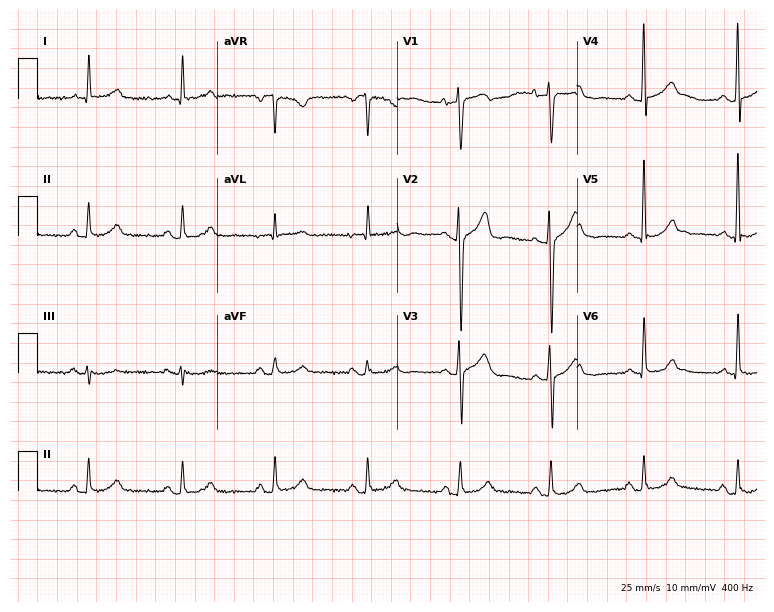
ECG (7.3-second recording at 400 Hz) — a man, 71 years old. Labelled as a normal ECG.